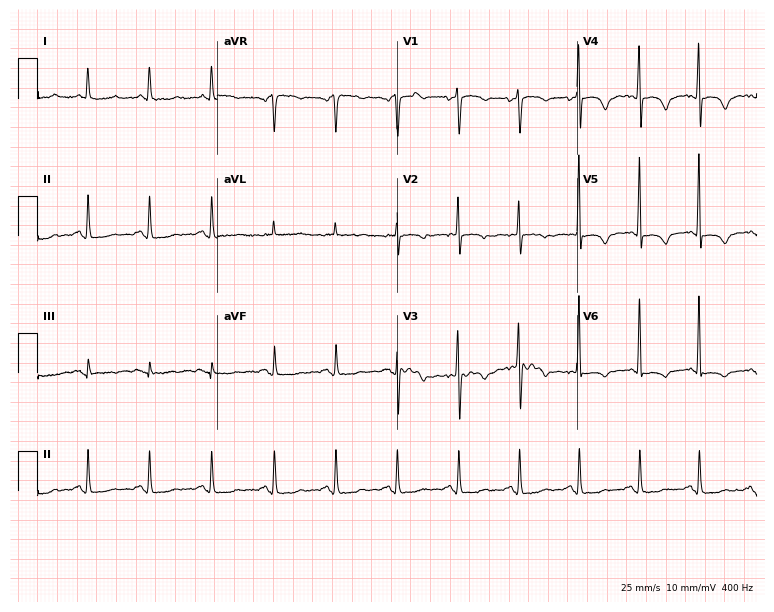
12-lead ECG from a woman, 75 years old (7.3-second recording at 400 Hz). No first-degree AV block, right bundle branch block, left bundle branch block, sinus bradycardia, atrial fibrillation or sinus tachycardia recorded for this tracing.